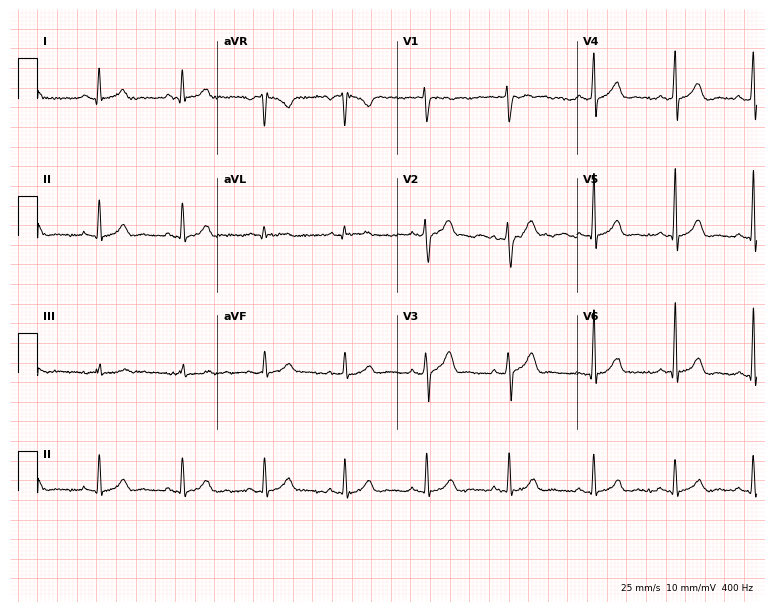
Standard 12-lead ECG recorded from a male patient, 33 years old (7.3-second recording at 400 Hz). Read as a normal ECG.